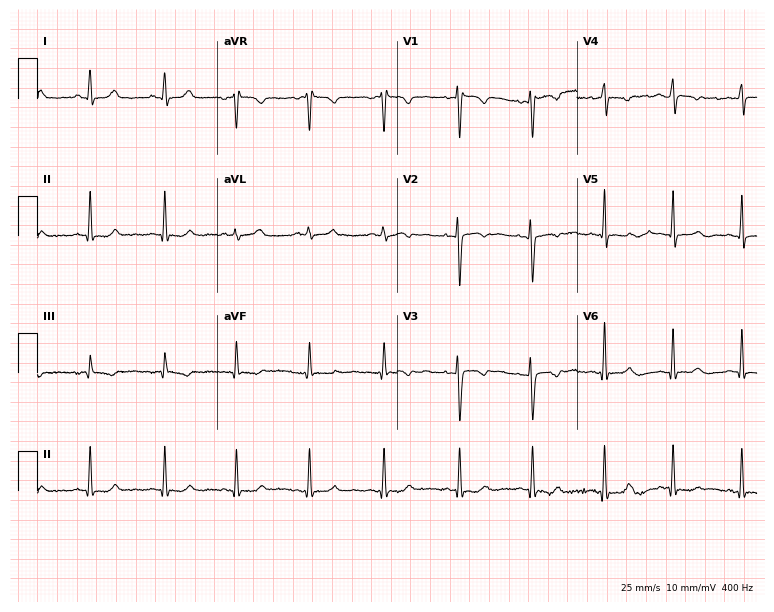
Electrocardiogram, a female, 23 years old. Overall reading on record: normal ECG.